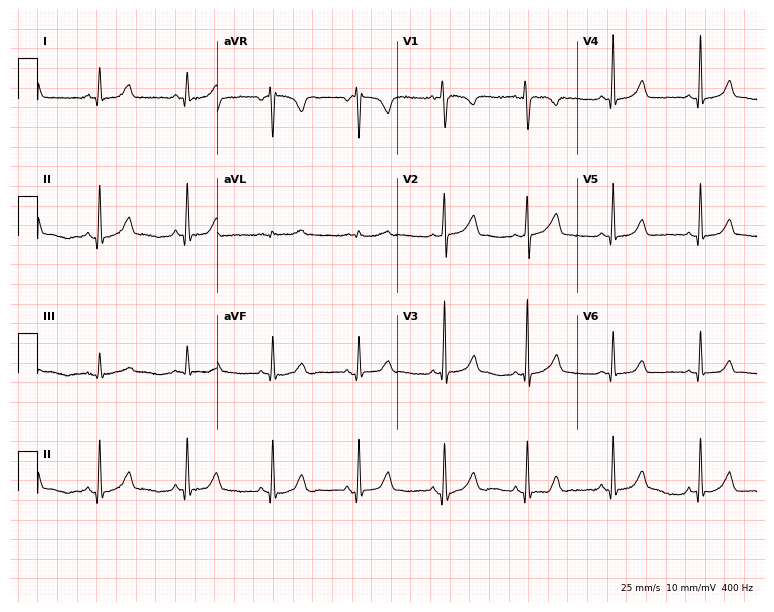
12-lead ECG from a 36-year-old female. Labelled as a normal ECG.